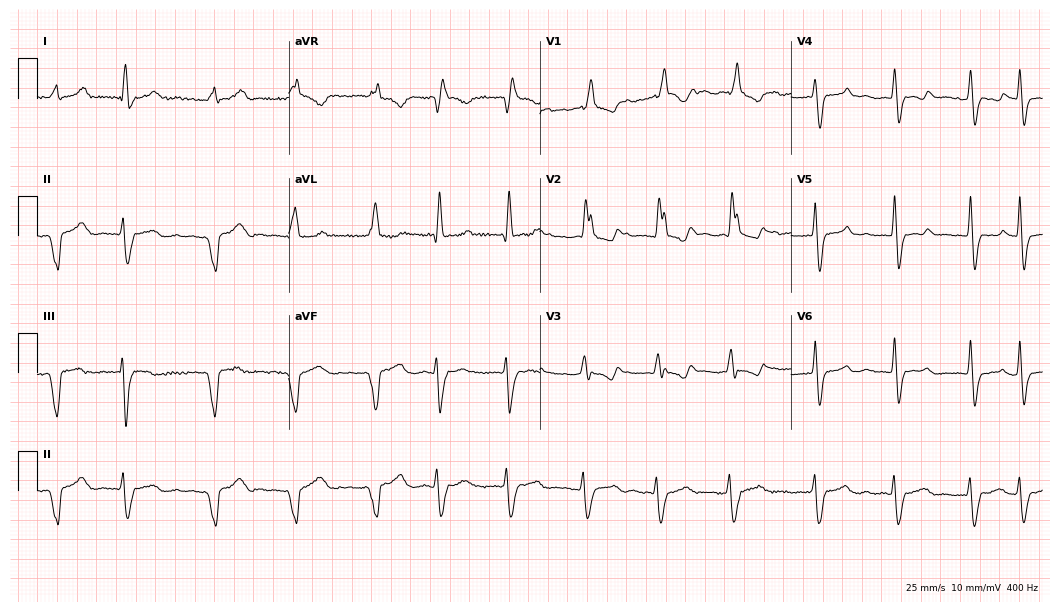
ECG — a woman, 67 years old. Screened for six findings — first-degree AV block, right bundle branch block (RBBB), left bundle branch block (LBBB), sinus bradycardia, atrial fibrillation (AF), sinus tachycardia — none is recorded. Only these six findings were labelled.